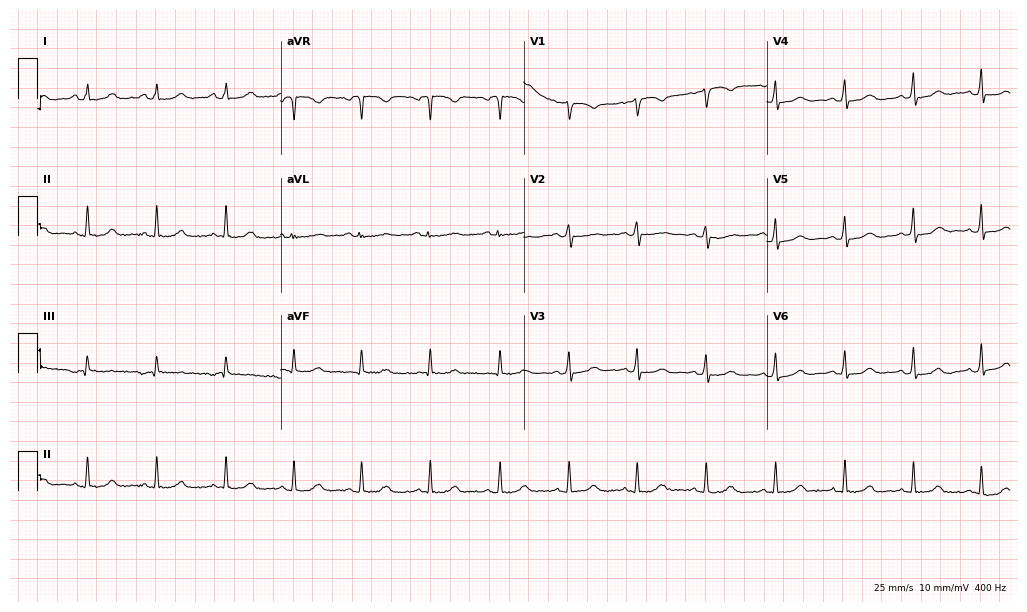
Standard 12-lead ECG recorded from a 62-year-old female patient. Read as a normal ECG.